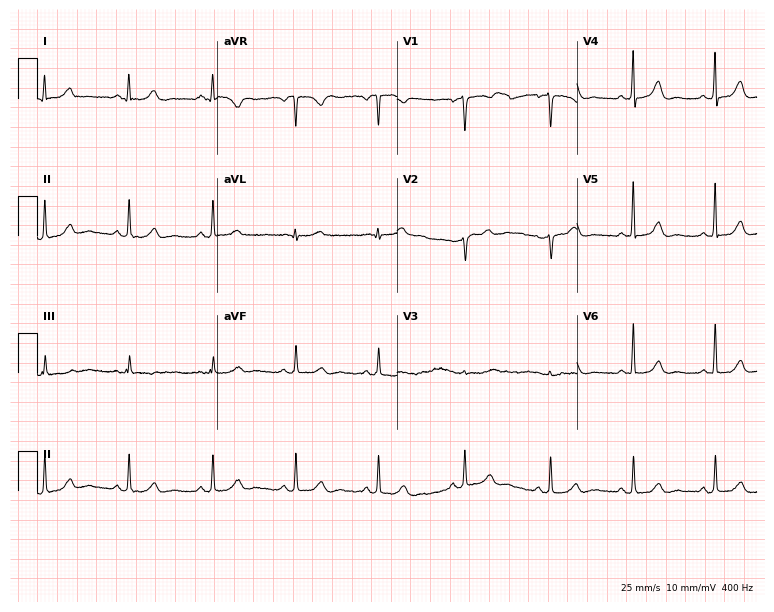
12-lead ECG from a woman, 58 years old (7.3-second recording at 400 Hz). Recorded interpretation: within normal limits.